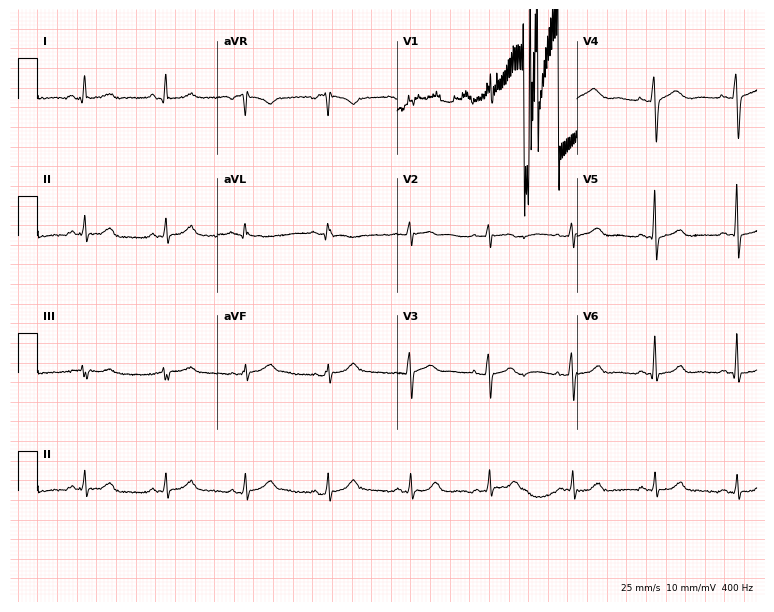
Resting 12-lead electrocardiogram. Patient: a woman, 54 years old. Read as a normal ECG.